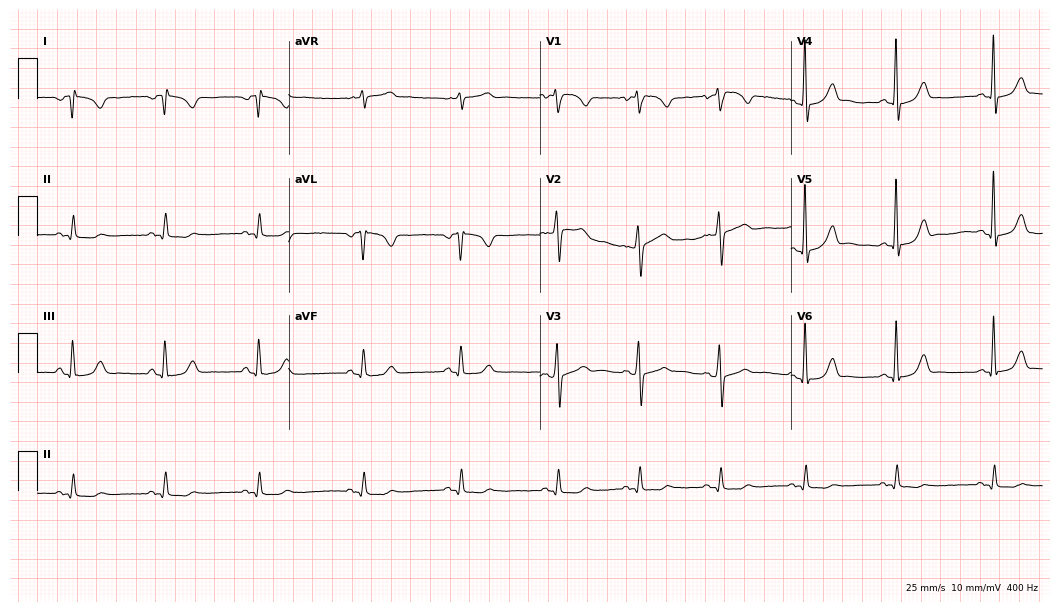
12-lead ECG (10.2-second recording at 400 Hz) from a 30-year-old female patient. Screened for six findings — first-degree AV block, right bundle branch block (RBBB), left bundle branch block (LBBB), sinus bradycardia, atrial fibrillation (AF), sinus tachycardia — none is recorded. Only these six findings were labelled.